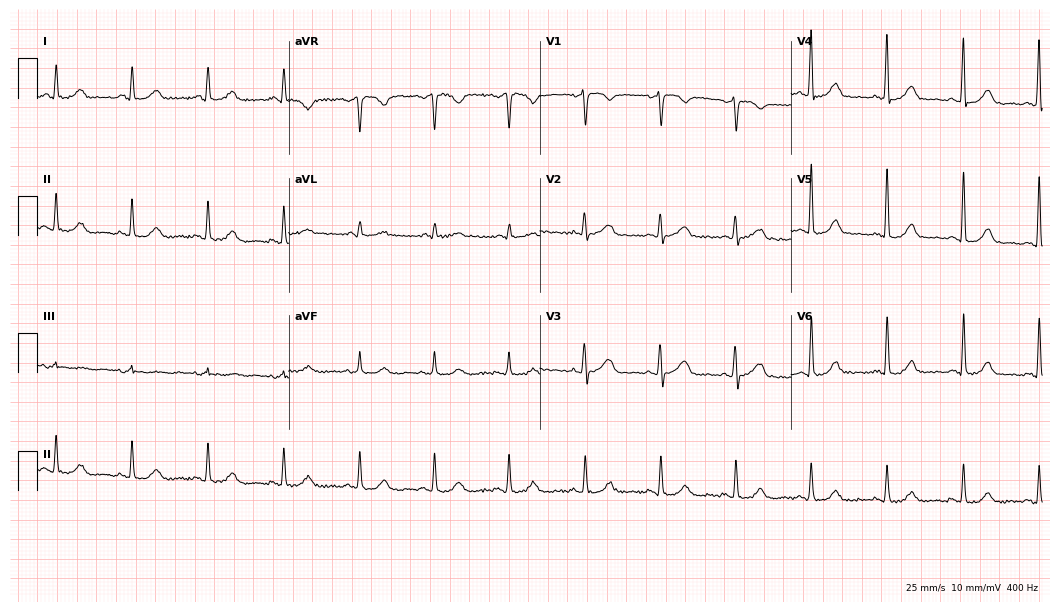
Standard 12-lead ECG recorded from a female, 64 years old (10.2-second recording at 400 Hz). Read as a normal ECG.